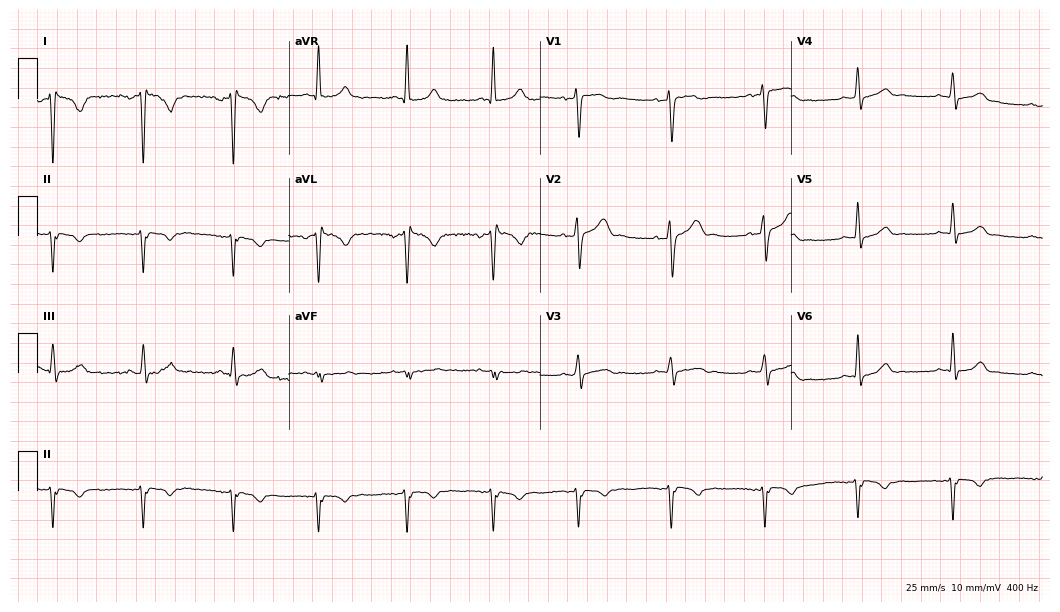
Resting 12-lead electrocardiogram (10.2-second recording at 400 Hz). Patient: a male, 26 years old. None of these six findings is recorded: first-degree AV block, right bundle branch block (RBBB), left bundle branch block (LBBB), sinus bradycardia, atrial fibrillation (AF), sinus tachycardia. Findings outside these six are not listed.